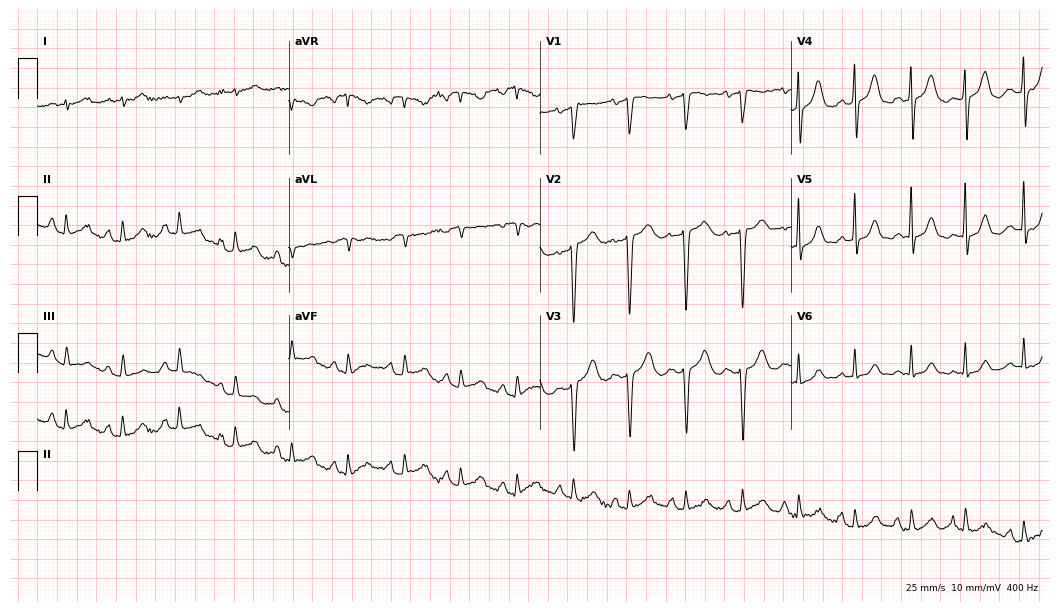
ECG (10.2-second recording at 400 Hz) — a 72-year-old female patient. Screened for six findings — first-degree AV block, right bundle branch block, left bundle branch block, sinus bradycardia, atrial fibrillation, sinus tachycardia — none is recorded.